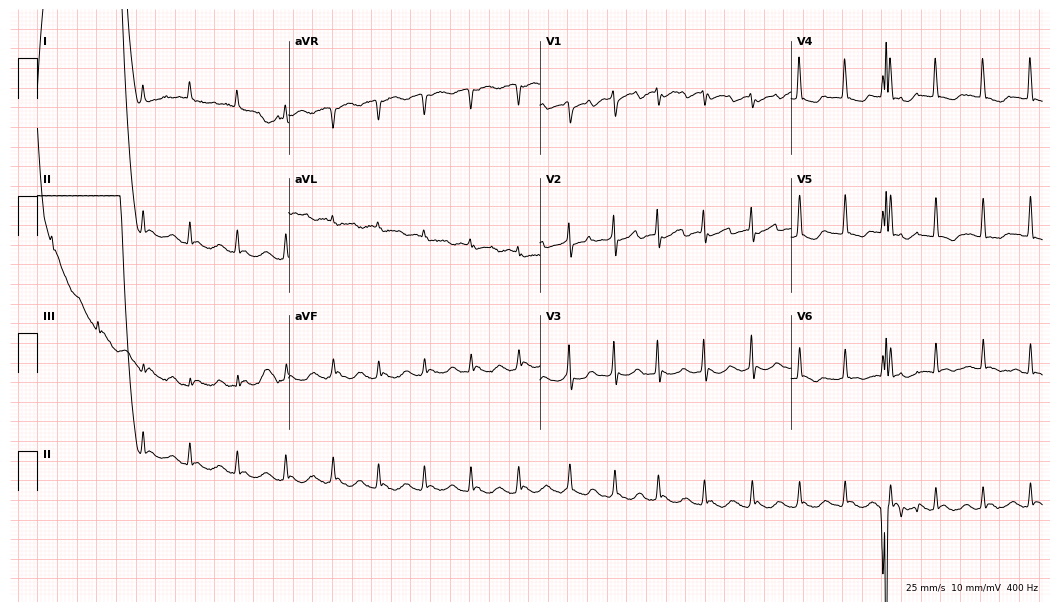
ECG (10.2-second recording at 400 Hz) — a 51-year-old female. Screened for six findings — first-degree AV block, right bundle branch block, left bundle branch block, sinus bradycardia, atrial fibrillation, sinus tachycardia — none is recorded.